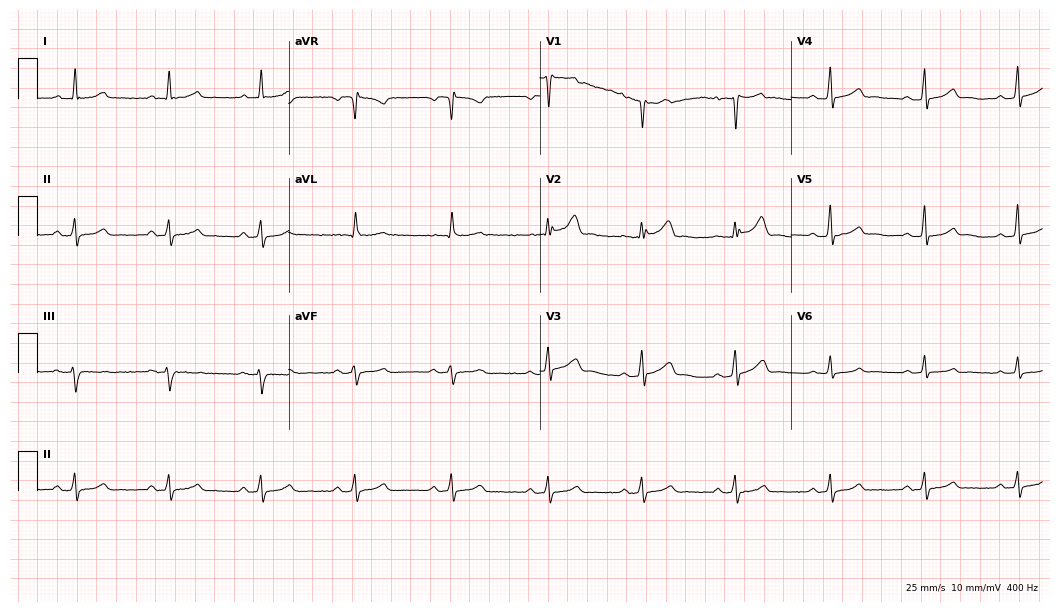
ECG (10.2-second recording at 400 Hz) — a male patient, 37 years old. Labelled as a normal ECG.